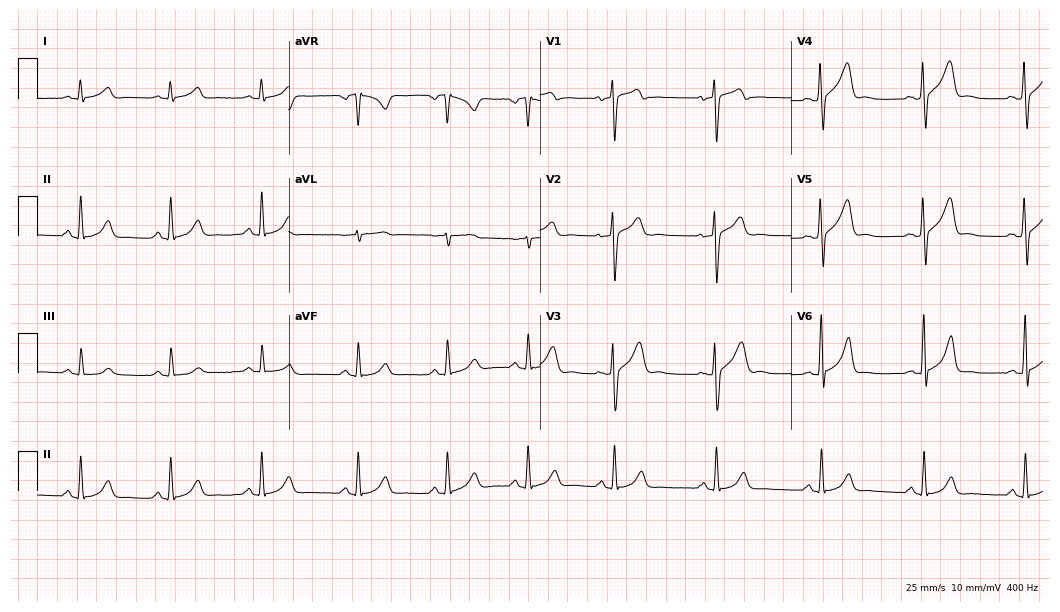
Resting 12-lead electrocardiogram (10.2-second recording at 400 Hz). Patient: a male, 26 years old. Read as a normal ECG.